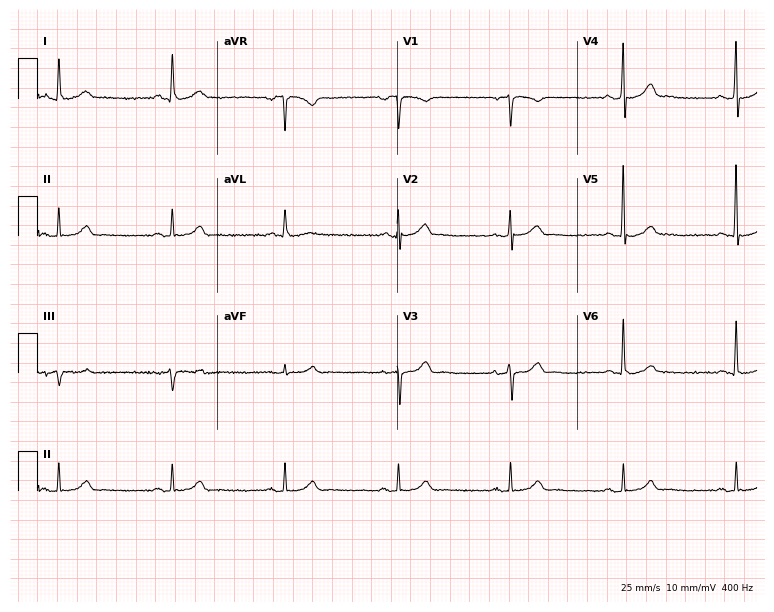
ECG (7.3-second recording at 400 Hz) — a 61-year-old male patient. Labelled as a normal ECG.